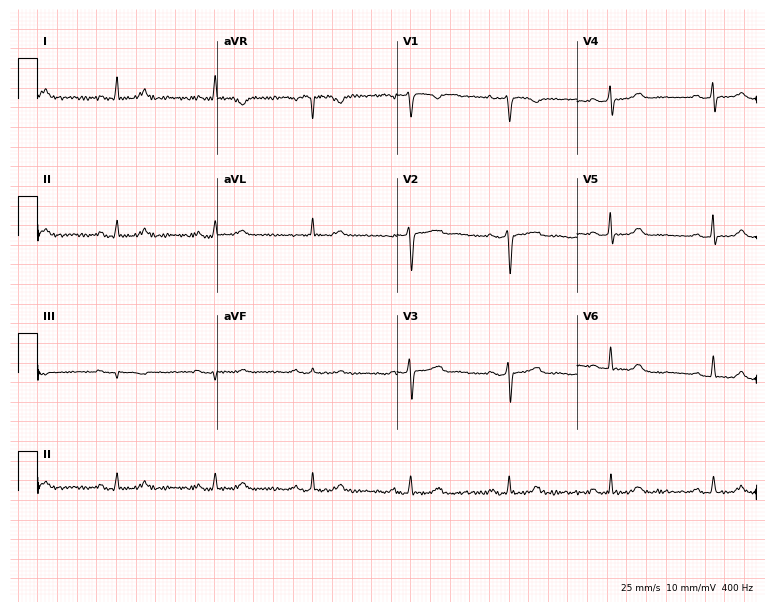
Electrocardiogram (7.3-second recording at 400 Hz), a 75-year-old female patient. Of the six screened findings (first-degree AV block, right bundle branch block, left bundle branch block, sinus bradycardia, atrial fibrillation, sinus tachycardia), none is recorded.